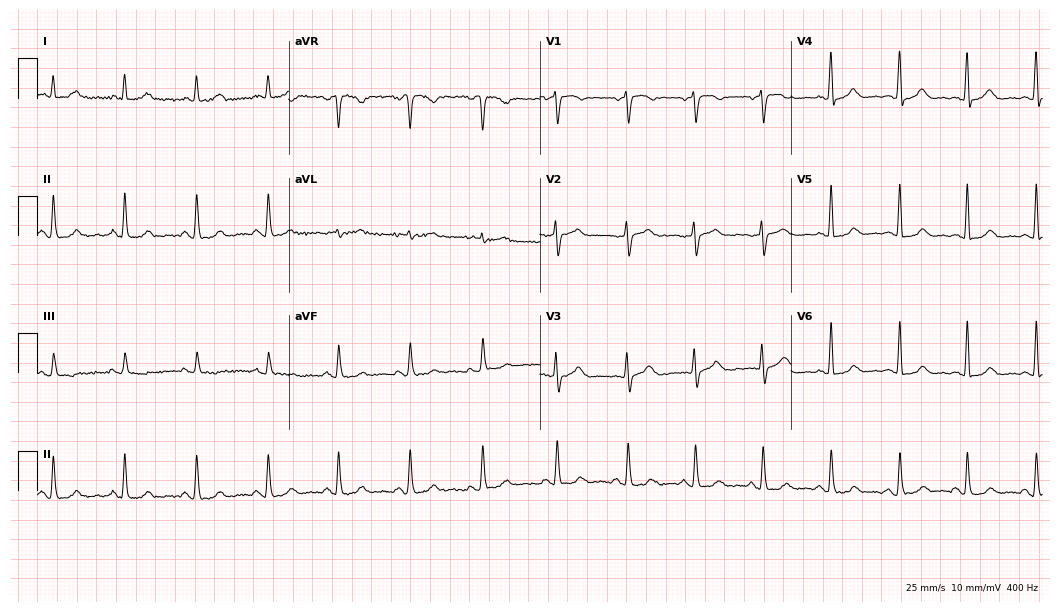
Resting 12-lead electrocardiogram (10.2-second recording at 400 Hz). Patient: a 65-year-old woman. Read as a normal ECG.